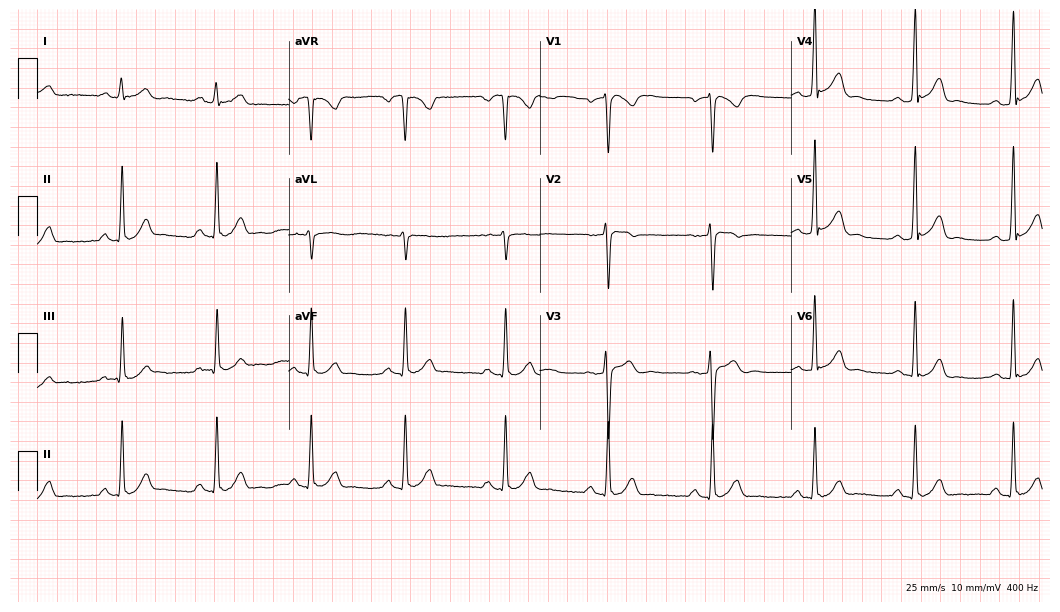
Electrocardiogram (10.2-second recording at 400 Hz), a 47-year-old male patient. Of the six screened findings (first-degree AV block, right bundle branch block (RBBB), left bundle branch block (LBBB), sinus bradycardia, atrial fibrillation (AF), sinus tachycardia), none is recorded. Only these six findings were labelled.